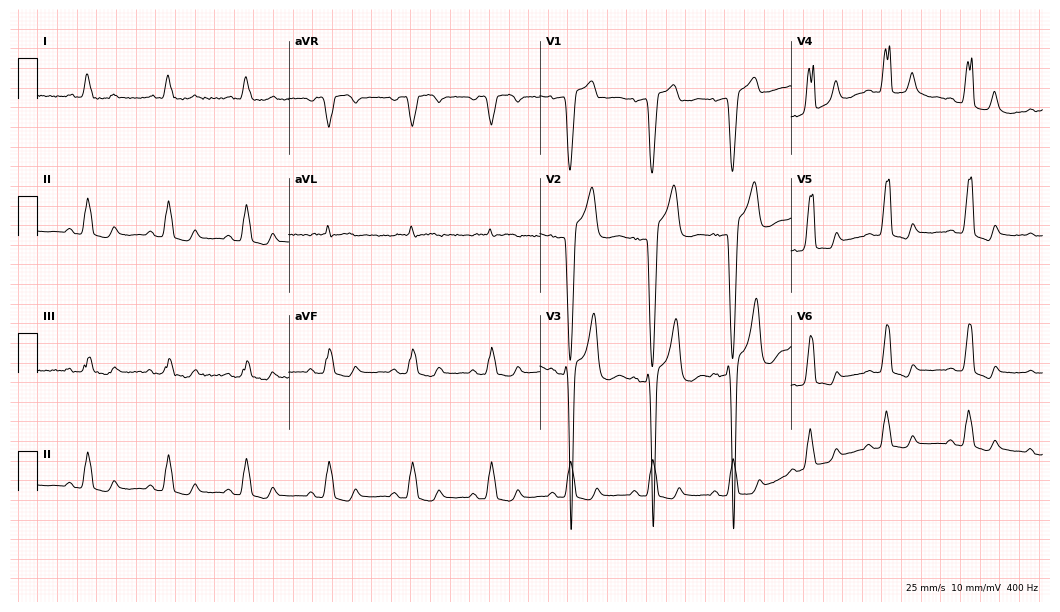
ECG — a woman, 66 years old. Findings include left bundle branch block (LBBB).